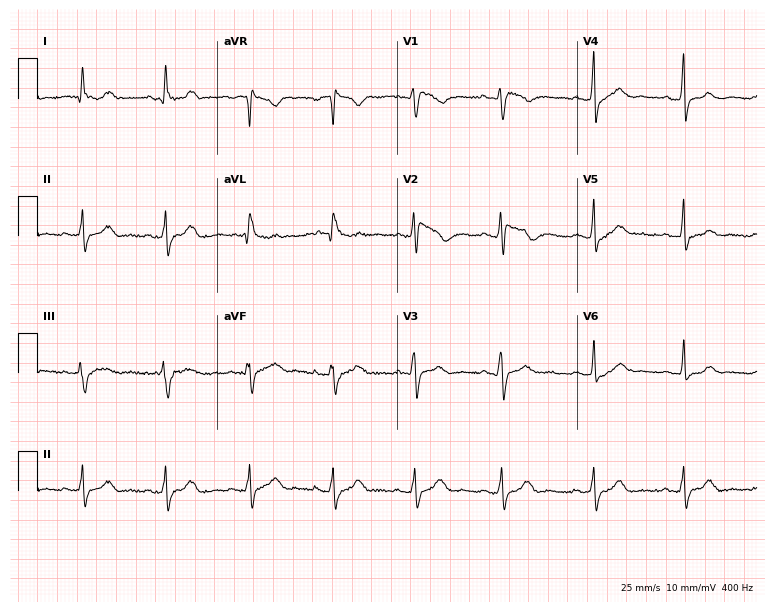
Electrocardiogram (7.3-second recording at 400 Hz), a 56-year-old woman. Of the six screened findings (first-degree AV block, right bundle branch block, left bundle branch block, sinus bradycardia, atrial fibrillation, sinus tachycardia), none is recorded.